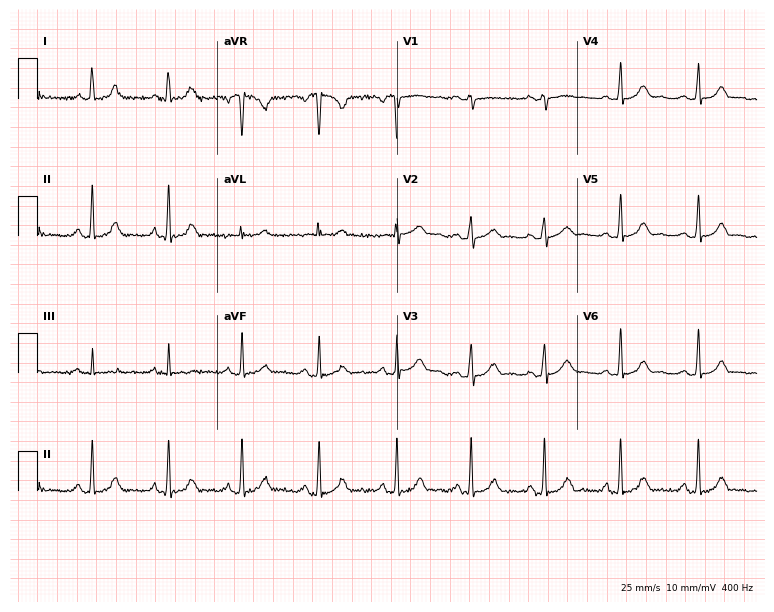
12-lead ECG from a woman, 20 years old. Labelled as a normal ECG.